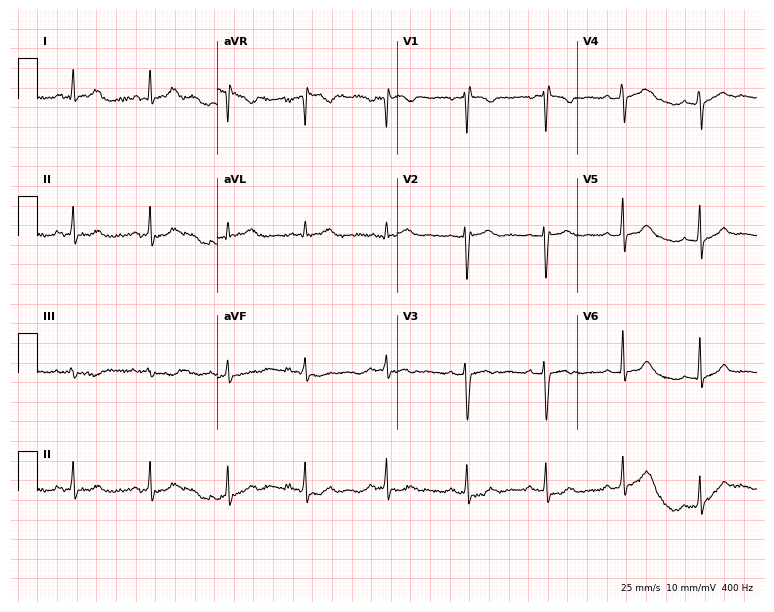
12-lead ECG from a 33-year-old woman. Screened for six findings — first-degree AV block, right bundle branch block (RBBB), left bundle branch block (LBBB), sinus bradycardia, atrial fibrillation (AF), sinus tachycardia — none is recorded. Only these six findings were labelled.